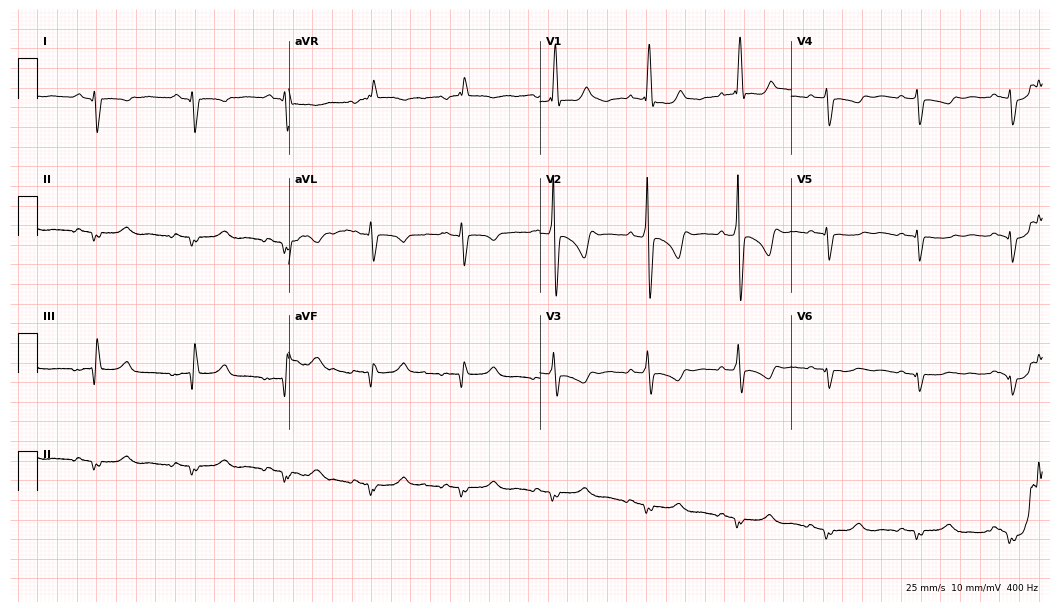
12-lead ECG from a woman, 32 years old. No first-degree AV block, right bundle branch block (RBBB), left bundle branch block (LBBB), sinus bradycardia, atrial fibrillation (AF) or sinus tachycardia recorded for this tracing.